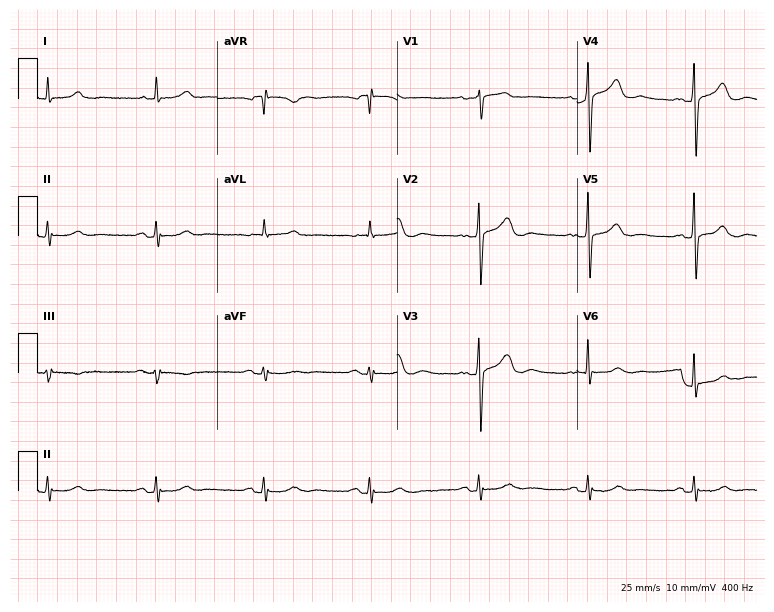
Resting 12-lead electrocardiogram (7.3-second recording at 400 Hz). Patient: a female, 81 years old. Read as a normal ECG.